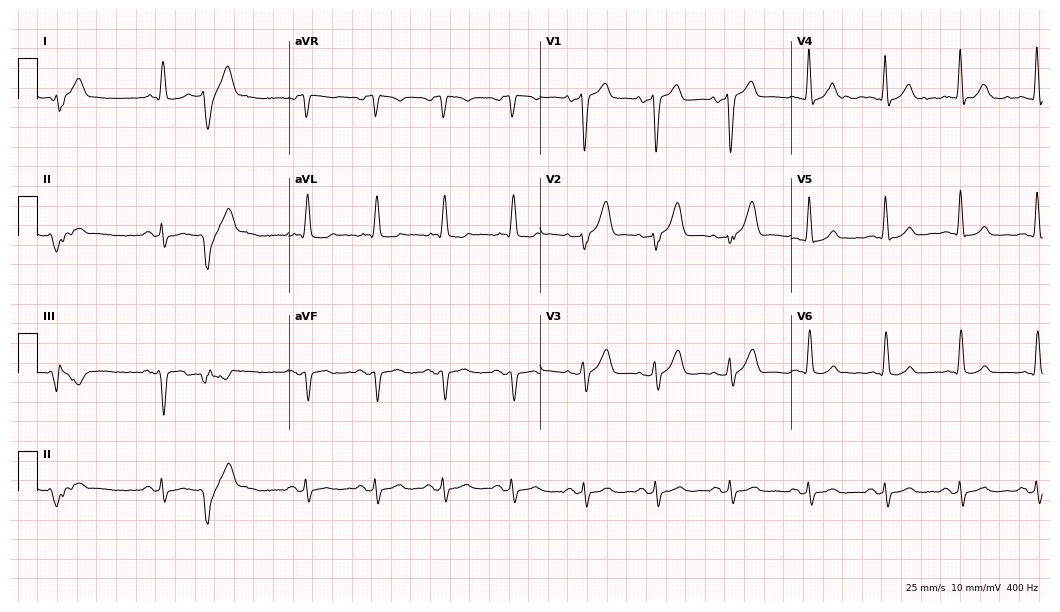
12-lead ECG from a male, 78 years old (10.2-second recording at 400 Hz). No first-degree AV block, right bundle branch block, left bundle branch block, sinus bradycardia, atrial fibrillation or sinus tachycardia recorded for this tracing. Other findings, if any, are not listed.